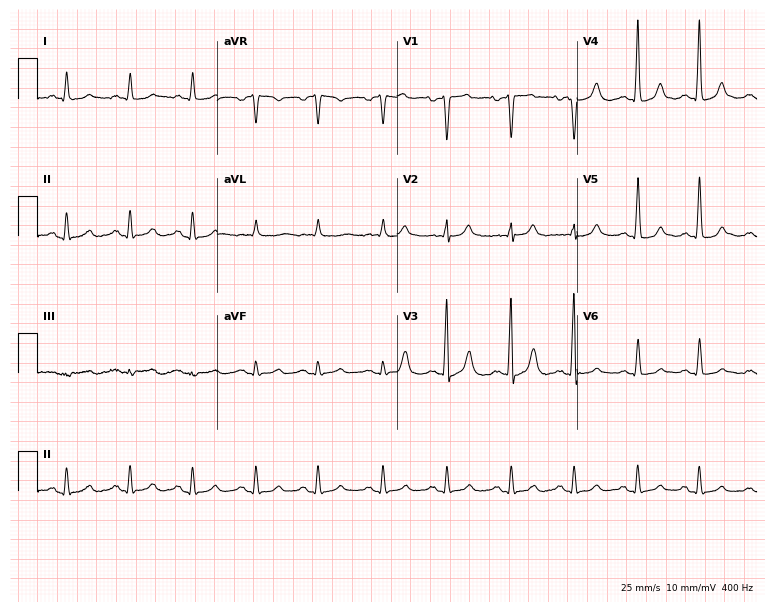
12-lead ECG from an 82-year-old male patient (7.3-second recording at 400 Hz). Recorded interpretation: within normal limits.